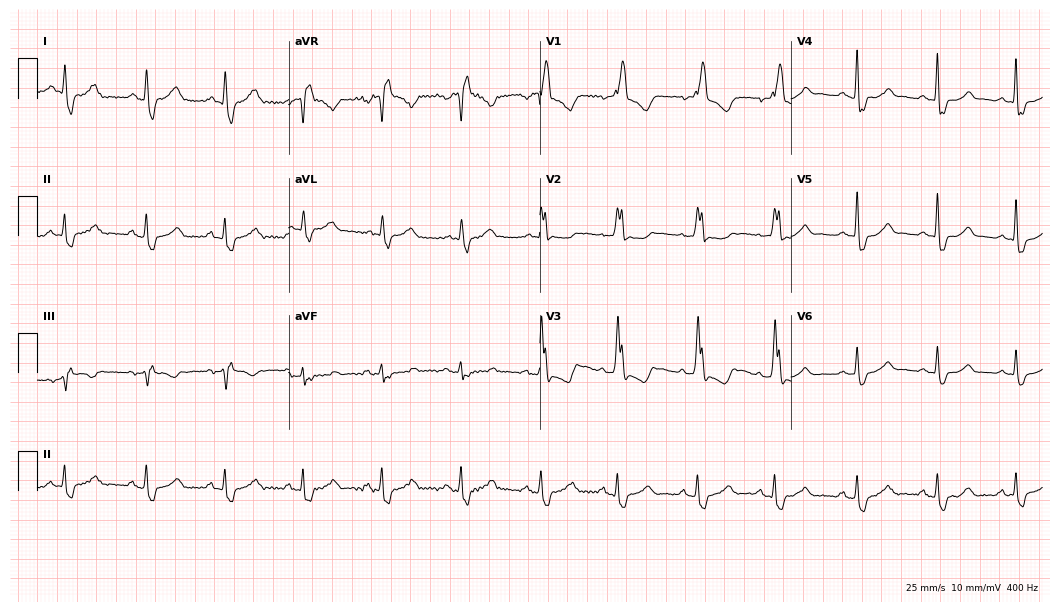
ECG (10.2-second recording at 400 Hz) — a 64-year-old female patient. Screened for six findings — first-degree AV block, right bundle branch block (RBBB), left bundle branch block (LBBB), sinus bradycardia, atrial fibrillation (AF), sinus tachycardia — none is recorded. Other findings, if any, are not listed.